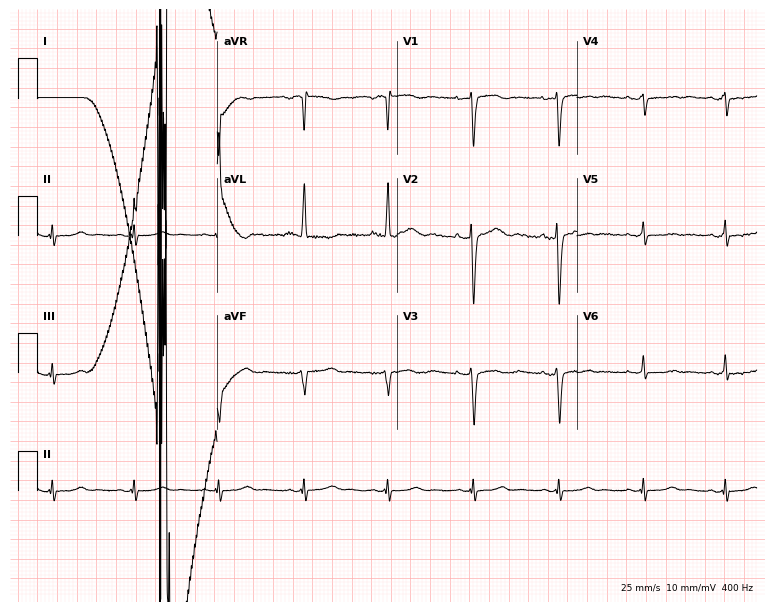
Standard 12-lead ECG recorded from a woman, 40 years old. None of these six findings is recorded: first-degree AV block, right bundle branch block, left bundle branch block, sinus bradycardia, atrial fibrillation, sinus tachycardia.